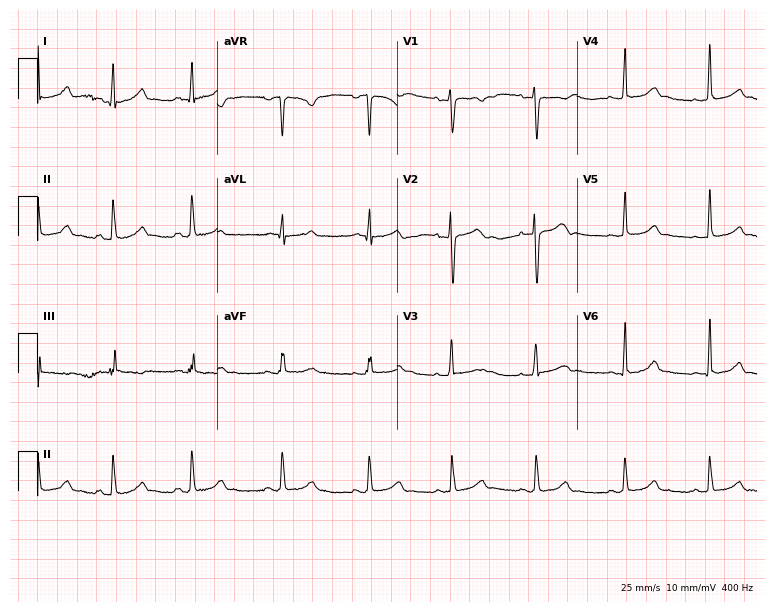
12-lead ECG from a 27-year-old female patient. Labelled as a normal ECG.